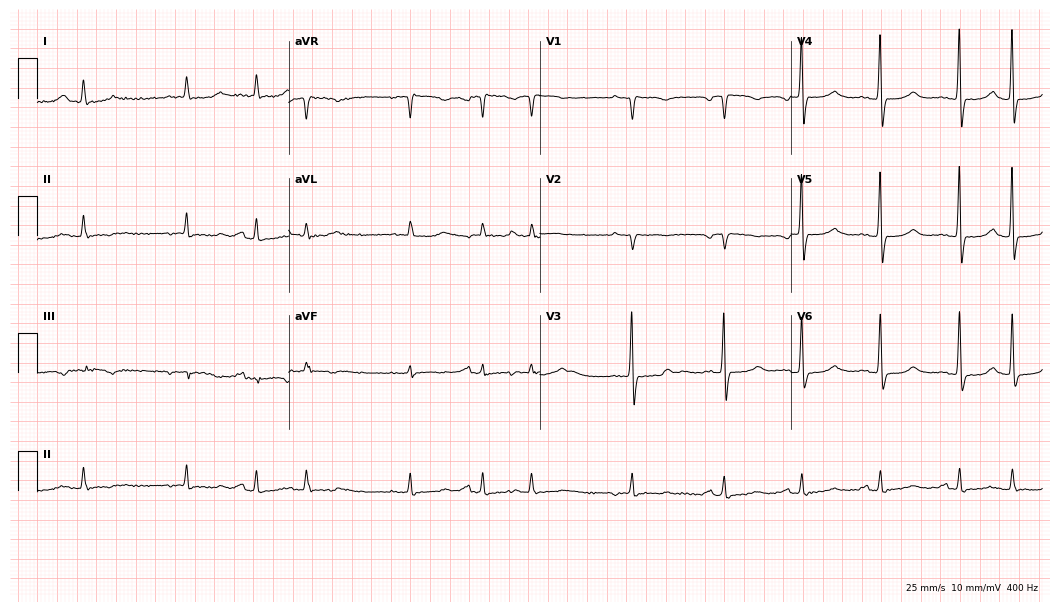
Electrocardiogram (10.2-second recording at 400 Hz), a female patient, 73 years old. Of the six screened findings (first-degree AV block, right bundle branch block, left bundle branch block, sinus bradycardia, atrial fibrillation, sinus tachycardia), none is recorded. Findings outside these six are not listed.